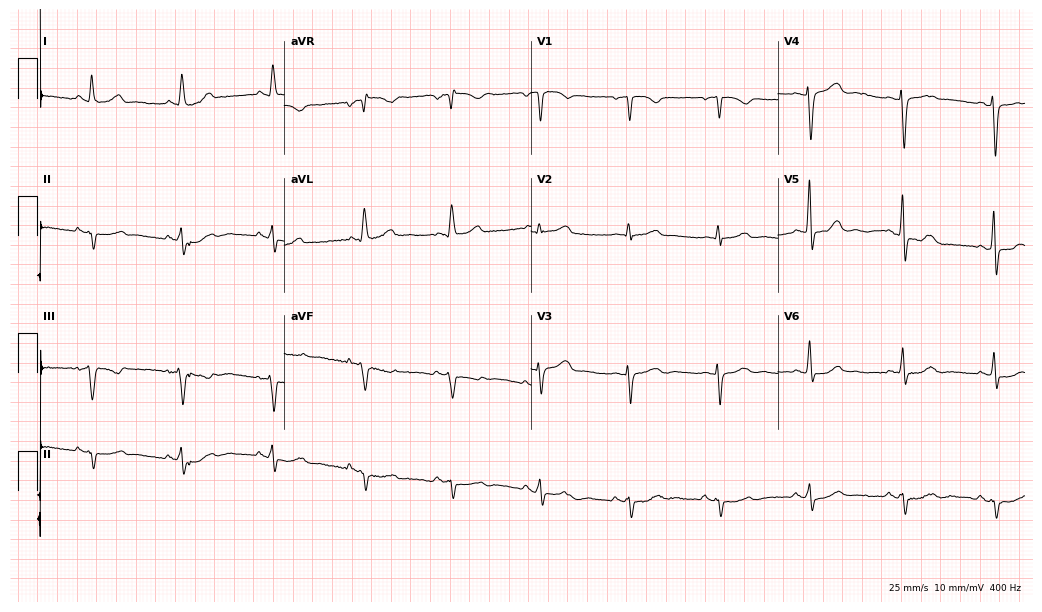
Electrocardiogram (10.1-second recording at 400 Hz), a 62-year-old woman. Of the six screened findings (first-degree AV block, right bundle branch block (RBBB), left bundle branch block (LBBB), sinus bradycardia, atrial fibrillation (AF), sinus tachycardia), none is recorded.